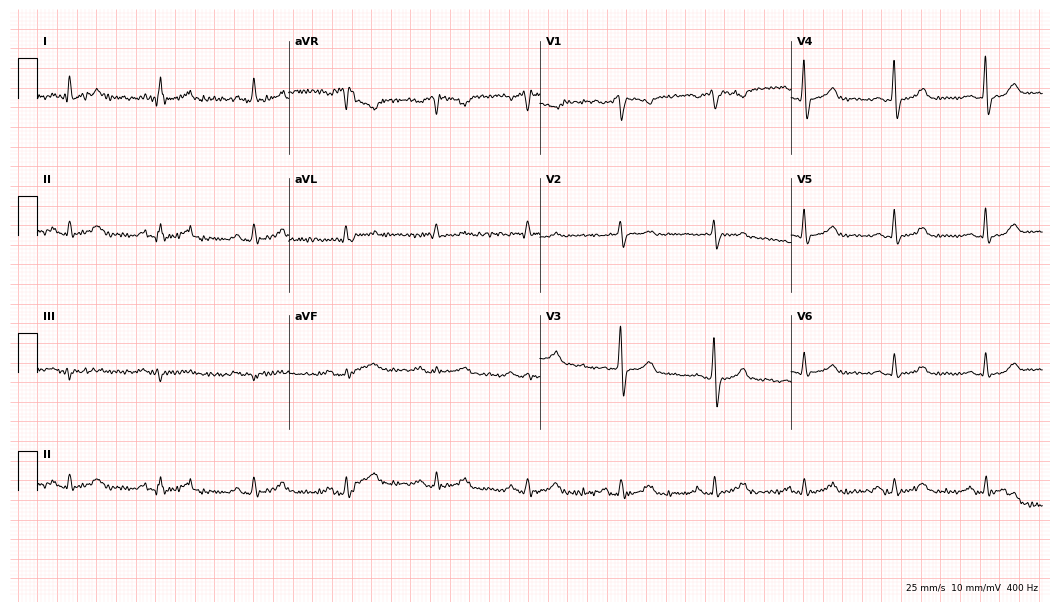
Standard 12-lead ECG recorded from a male, 59 years old (10.2-second recording at 400 Hz). None of these six findings is recorded: first-degree AV block, right bundle branch block, left bundle branch block, sinus bradycardia, atrial fibrillation, sinus tachycardia.